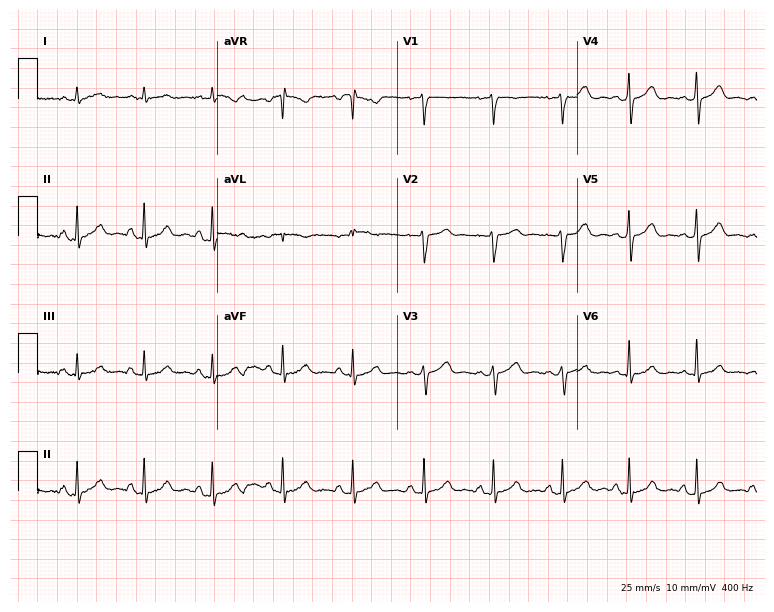
Standard 12-lead ECG recorded from a male, 43 years old (7.3-second recording at 400 Hz). None of these six findings is recorded: first-degree AV block, right bundle branch block, left bundle branch block, sinus bradycardia, atrial fibrillation, sinus tachycardia.